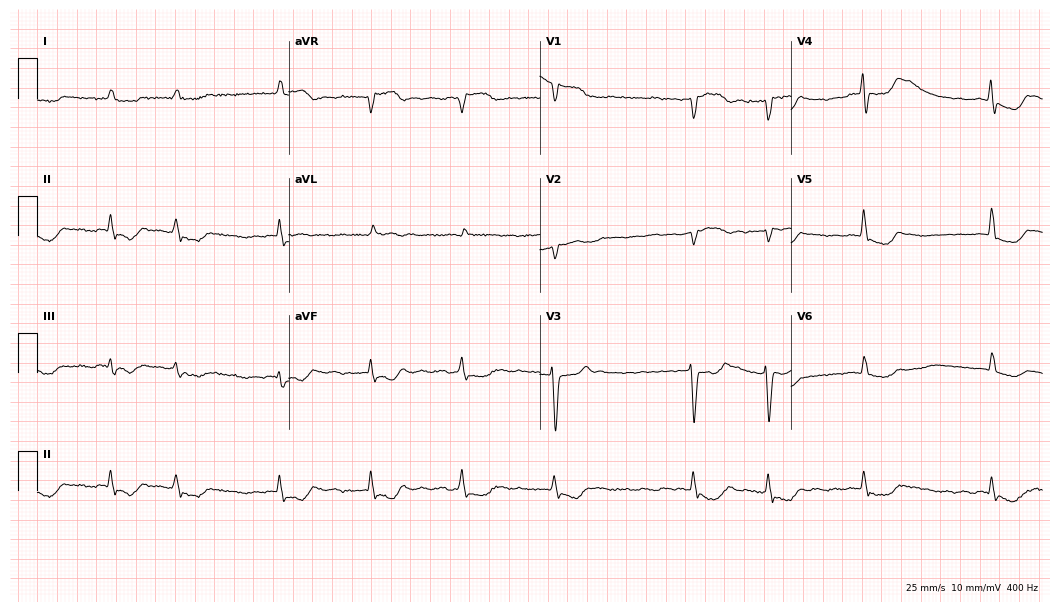
12-lead ECG from a 60-year-old male. Shows atrial fibrillation.